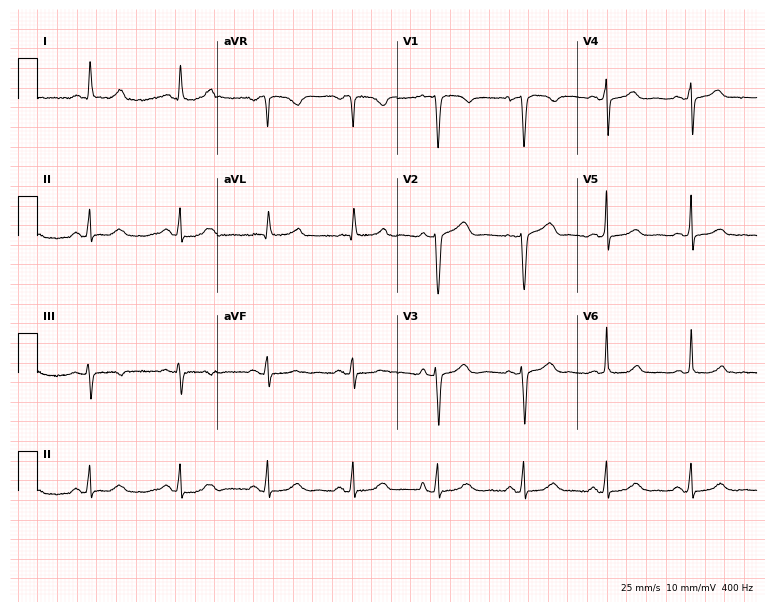
Standard 12-lead ECG recorded from a female, 68 years old (7.3-second recording at 400 Hz). Read as a normal ECG.